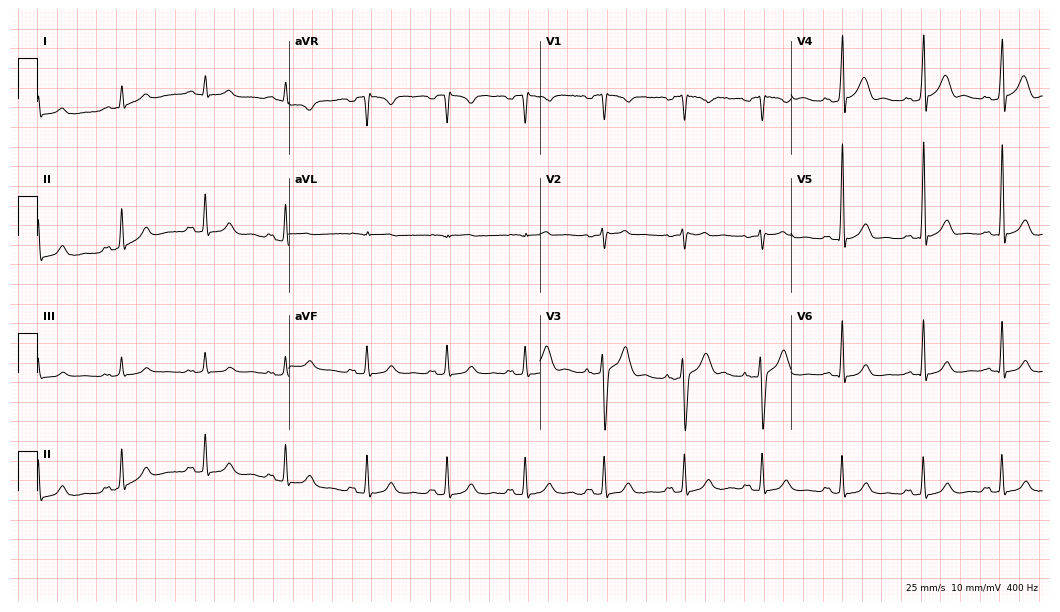
ECG (10.2-second recording at 400 Hz) — a 46-year-old male patient. Labelled as a normal ECG.